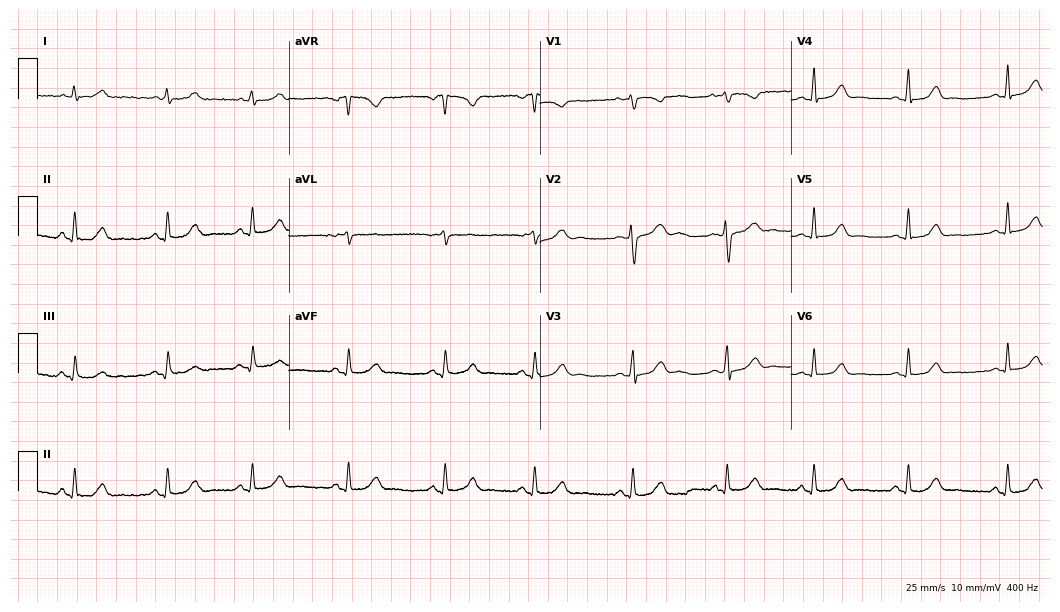
ECG — a 33-year-old female. Labelled as a normal ECG.